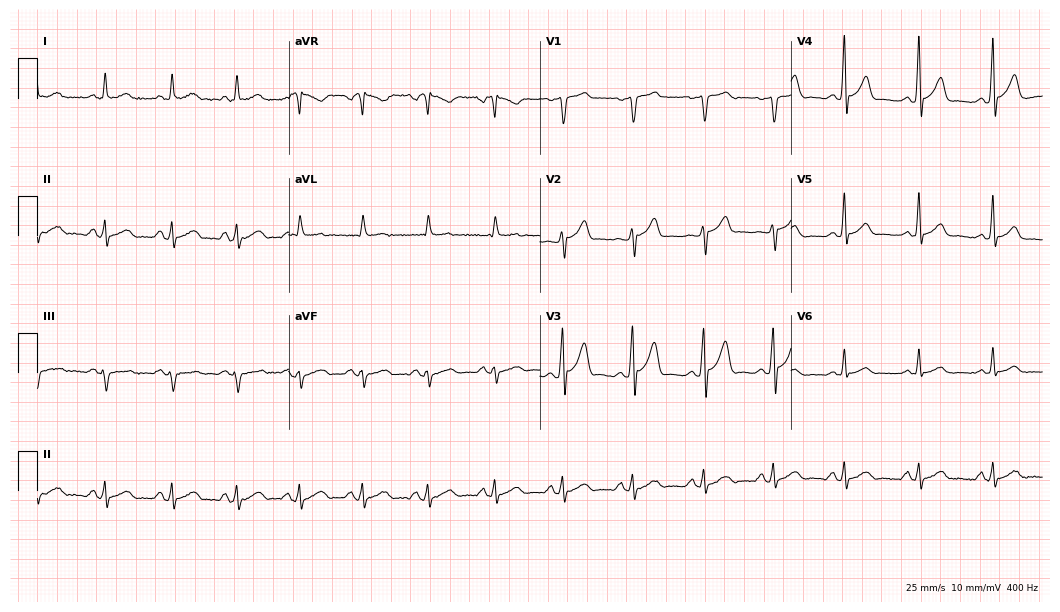
12-lead ECG from a 63-year-old male (10.2-second recording at 400 Hz). Recorded interpretation: within normal limits.